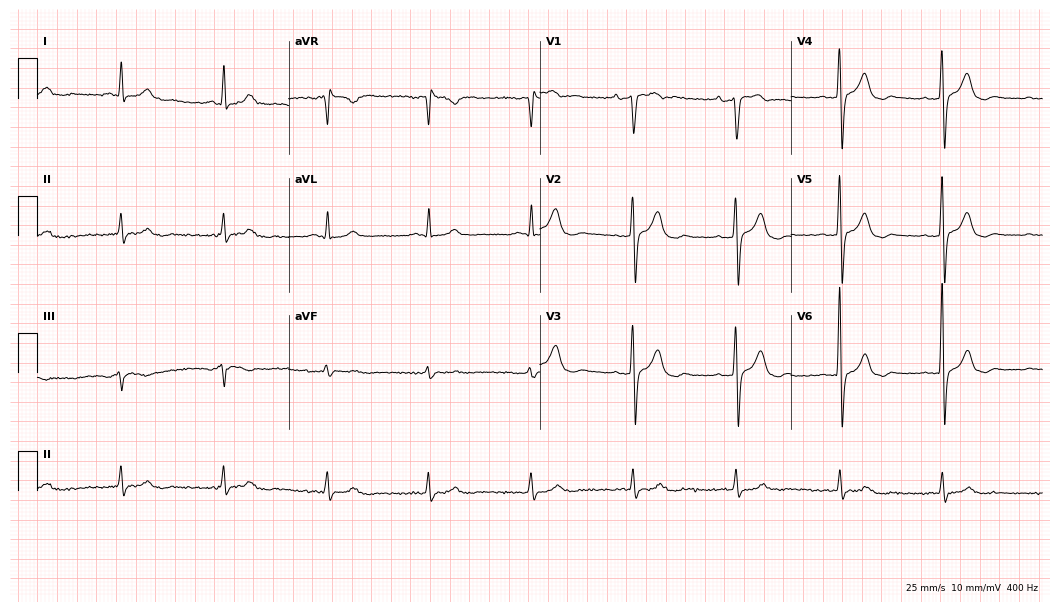
Standard 12-lead ECG recorded from a 70-year-old male patient. None of these six findings is recorded: first-degree AV block, right bundle branch block (RBBB), left bundle branch block (LBBB), sinus bradycardia, atrial fibrillation (AF), sinus tachycardia.